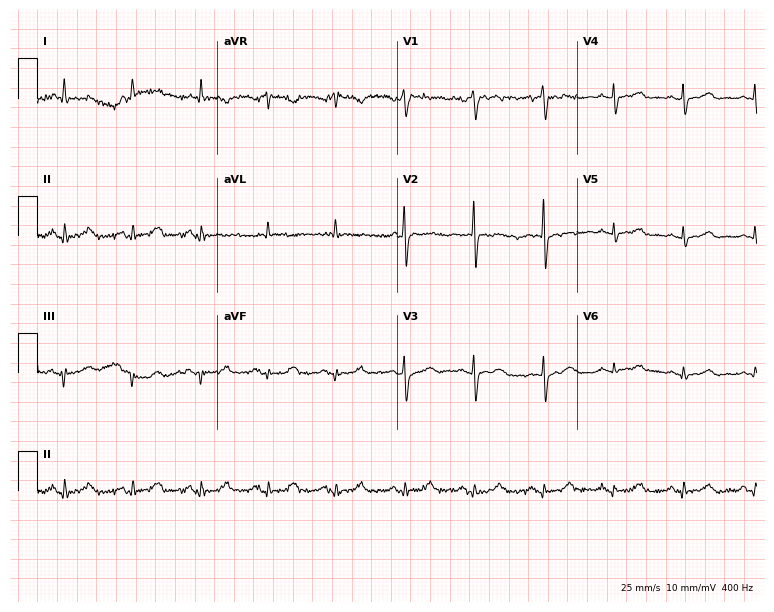
Electrocardiogram (7.3-second recording at 400 Hz), a 61-year-old woman. Of the six screened findings (first-degree AV block, right bundle branch block (RBBB), left bundle branch block (LBBB), sinus bradycardia, atrial fibrillation (AF), sinus tachycardia), none is recorded.